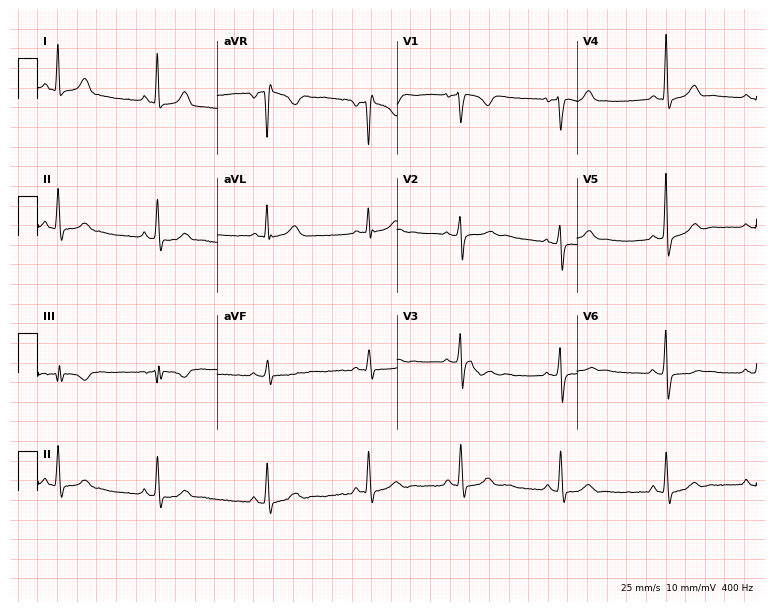
Electrocardiogram, a 39-year-old female. Of the six screened findings (first-degree AV block, right bundle branch block (RBBB), left bundle branch block (LBBB), sinus bradycardia, atrial fibrillation (AF), sinus tachycardia), none is recorded.